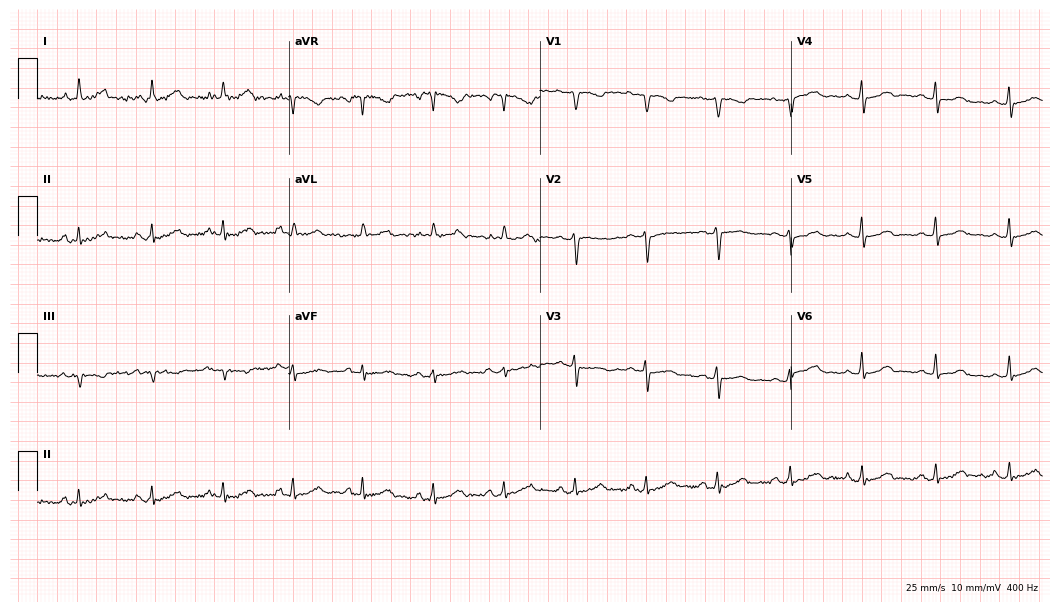
Electrocardiogram, a female patient, 59 years old. Of the six screened findings (first-degree AV block, right bundle branch block, left bundle branch block, sinus bradycardia, atrial fibrillation, sinus tachycardia), none is recorded. Other findings, if any, are not listed.